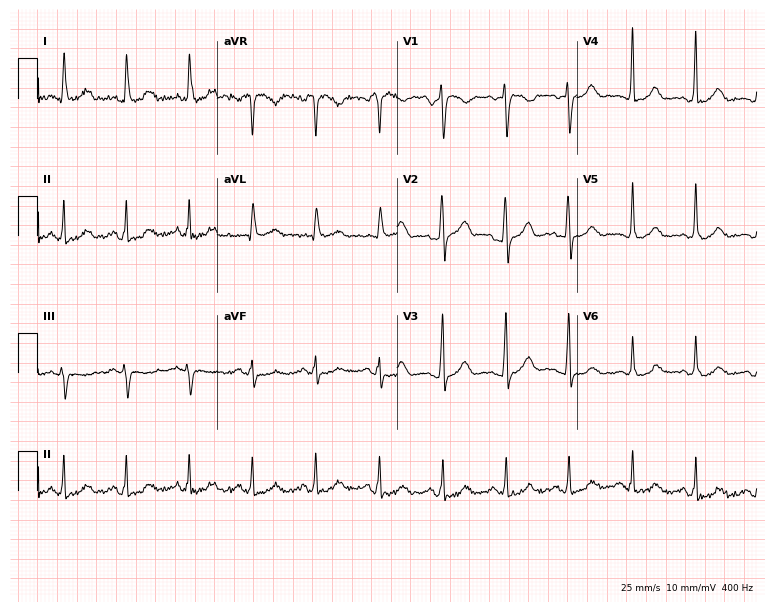
12-lead ECG (7.3-second recording at 400 Hz) from a 64-year-old female patient. Labelled as a normal ECG.